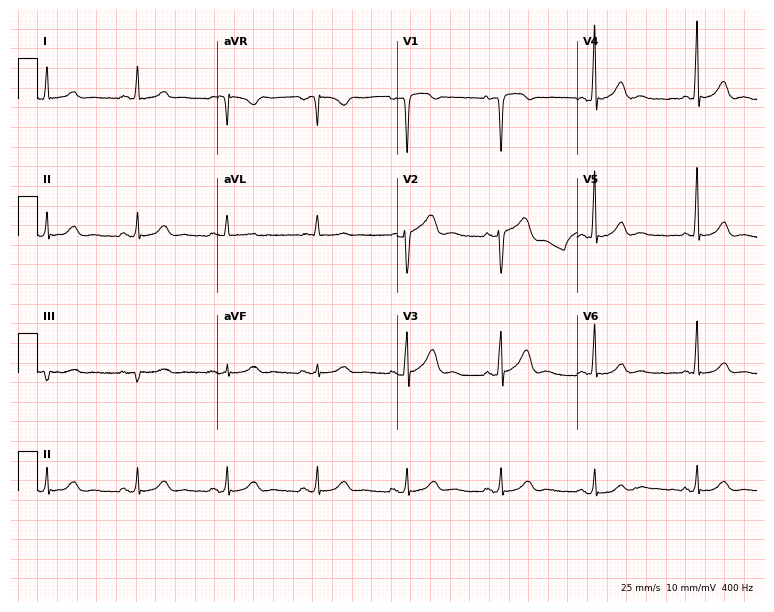
Resting 12-lead electrocardiogram (7.3-second recording at 400 Hz). Patient: a 65-year-old female. Read as a normal ECG.